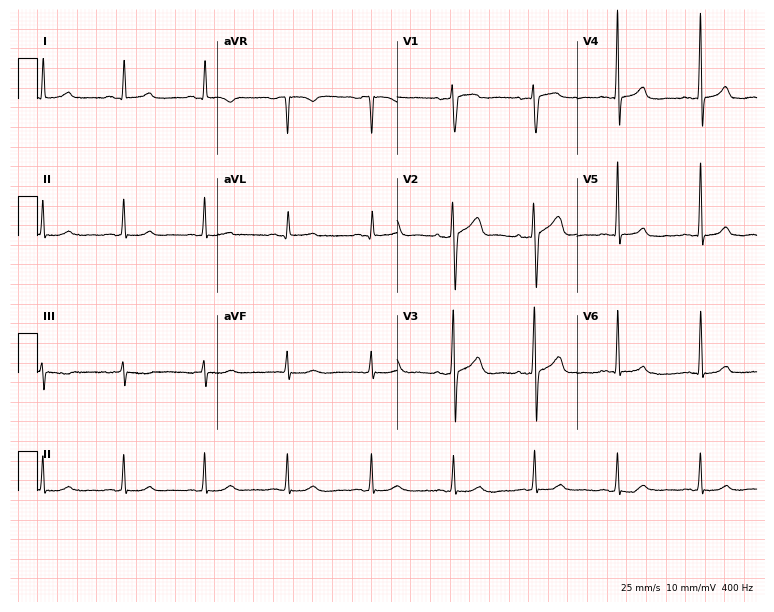
Standard 12-lead ECG recorded from a female patient, 59 years old (7.3-second recording at 400 Hz). None of these six findings is recorded: first-degree AV block, right bundle branch block (RBBB), left bundle branch block (LBBB), sinus bradycardia, atrial fibrillation (AF), sinus tachycardia.